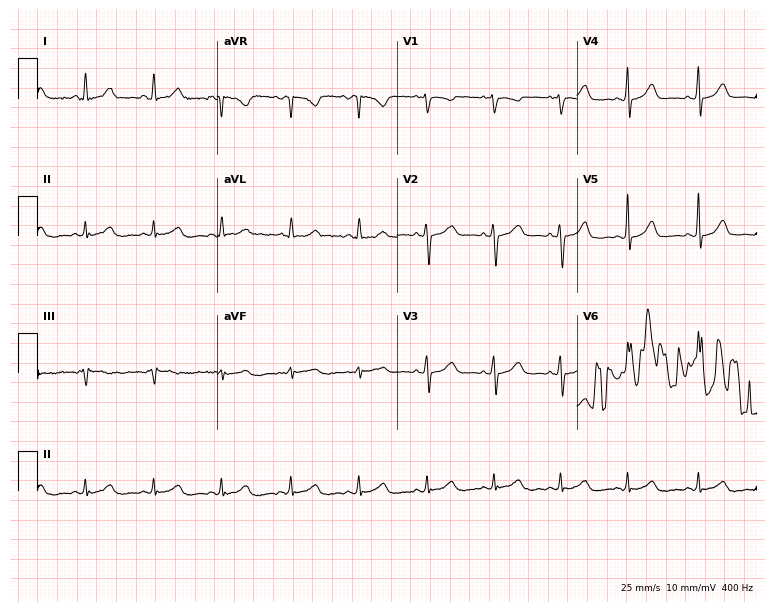
12-lead ECG (7.3-second recording at 400 Hz) from a female patient, 47 years old. Screened for six findings — first-degree AV block, right bundle branch block (RBBB), left bundle branch block (LBBB), sinus bradycardia, atrial fibrillation (AF), sinus tachycardia — none is recorded. Other findings, if any, are not listed.